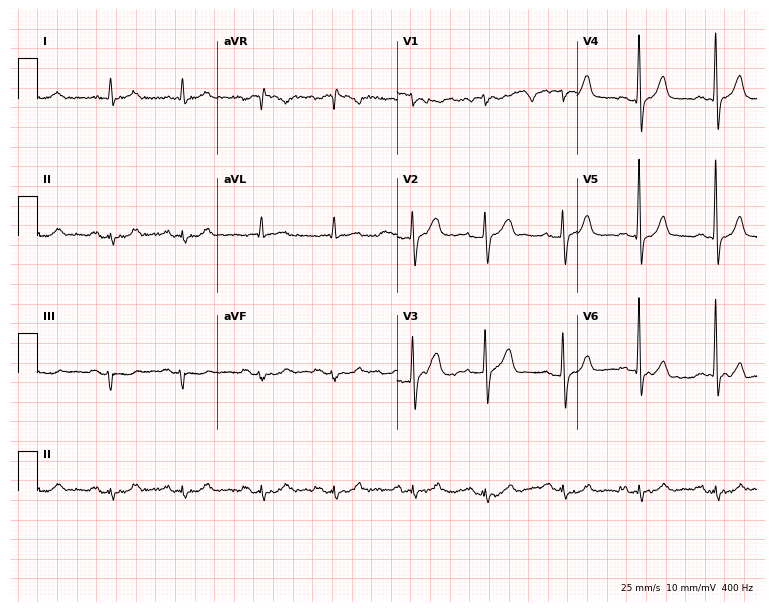
Electrocardiogram, a 75-year-old male. Overall reading on record: normal ECG.